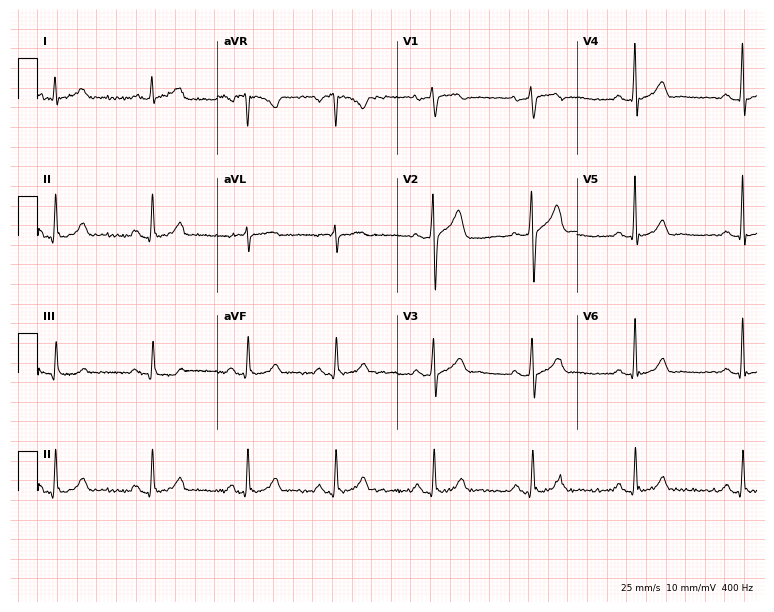
12-lead ECG from a 58-year-old man. No first-degree AV block, right bundle branch block (RBBB), left bundle branch block (LBBB), sinus bradycardia, atrial fibrillation (AF) or sinus tachycardia recorded for this tracing. Other findings, if any, are not listed.